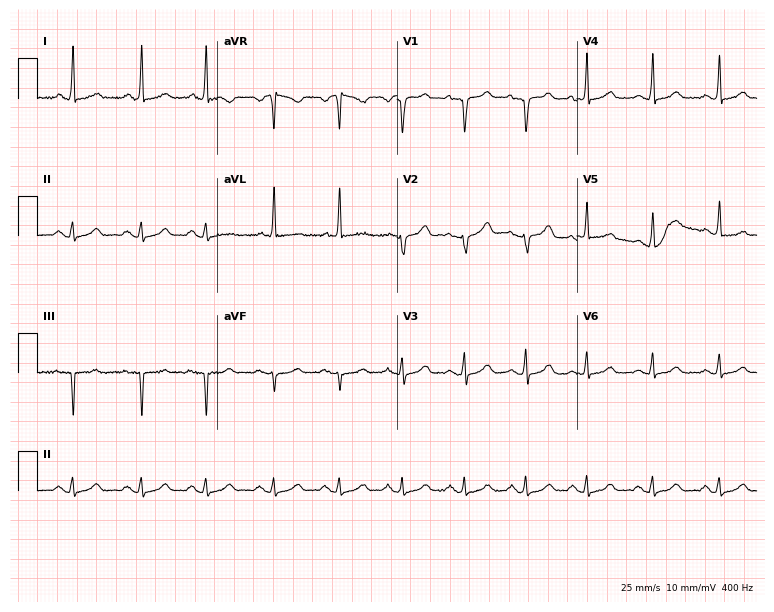
Electrocardiogram, a 73-year-old female. Of the six screened findings (first-degree AV block, right bundle branch block, left bundle branch block, sinus bradycardia, atrial fibrillation, sinus tachycardia), none is recorded. Other findings, if any, are not listed.